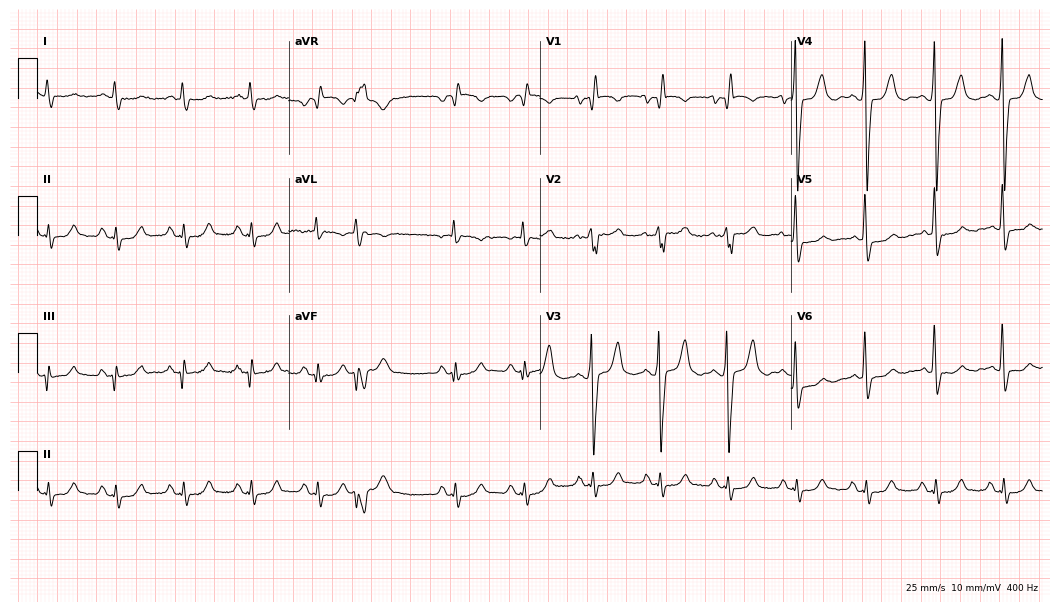
12-lead ECG from an 83-year-old female. Screened for six findings — first-degree AV block, right bundle branch block, left bundle branch block, sinus bradycardia, atrial fibrillation, sinus tachycardia — none is recorded. Only these six findings were labelled.